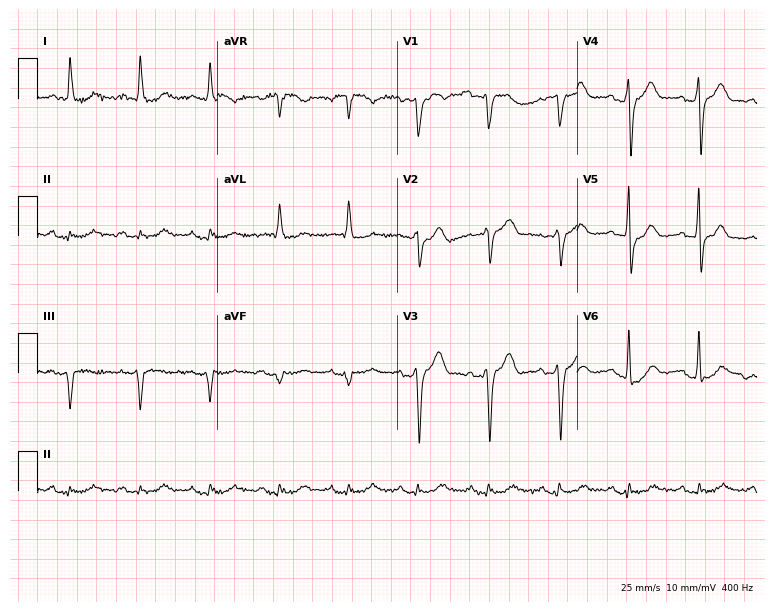
Standard 12-lead ECG recorded from a 74-year-old male. None of these six findings is recorded: first-degree AV block, right bundle branch block (RBBB), left bundle branch block (LBBB), sinus bradycardia, atrial fibrillation (AF), sinus tachycardia.